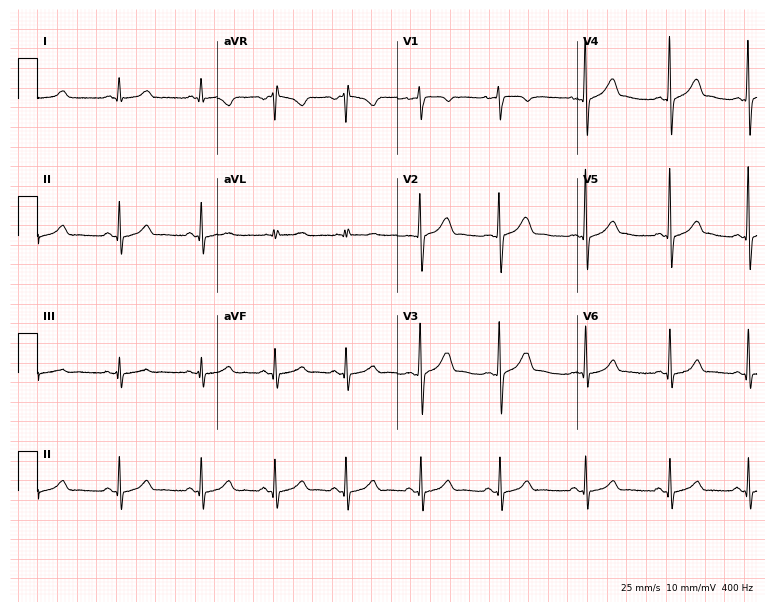
ECG (7.3-second recording at 400 Hz) — a 26-year-old woman. Labelled as a normal ECG.